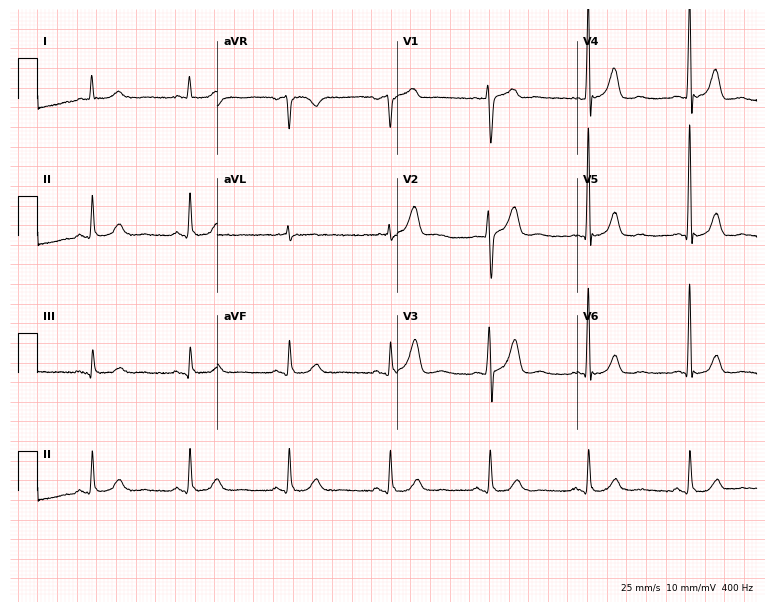
ECG (7.3-second recording at 400 Hz) — a 75-year-old male. Labelled as a normal ECG.